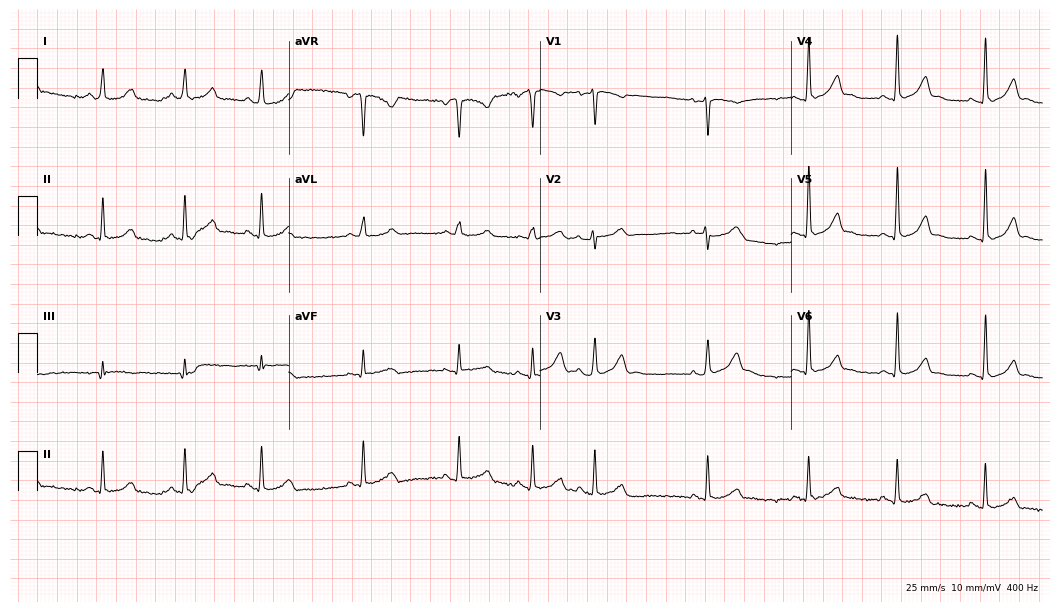
Resting 12-lead electrocardiogram (10.2-second recording at 400 Hz). Patient: a 20-year-old woman. Read as a normal ECG.